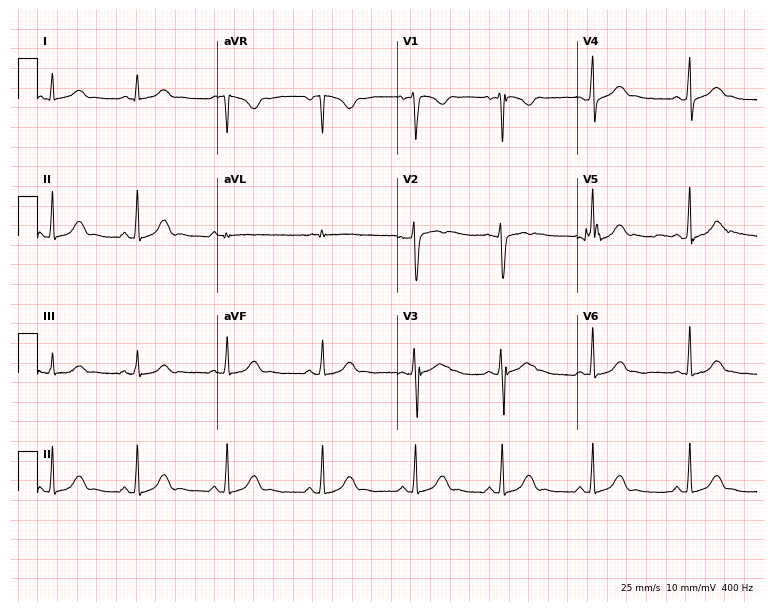
12-lead ECG from a female patient, 26 years old (7.3-second recording at 400 Hz). Recorded interpretation: within normal limits.